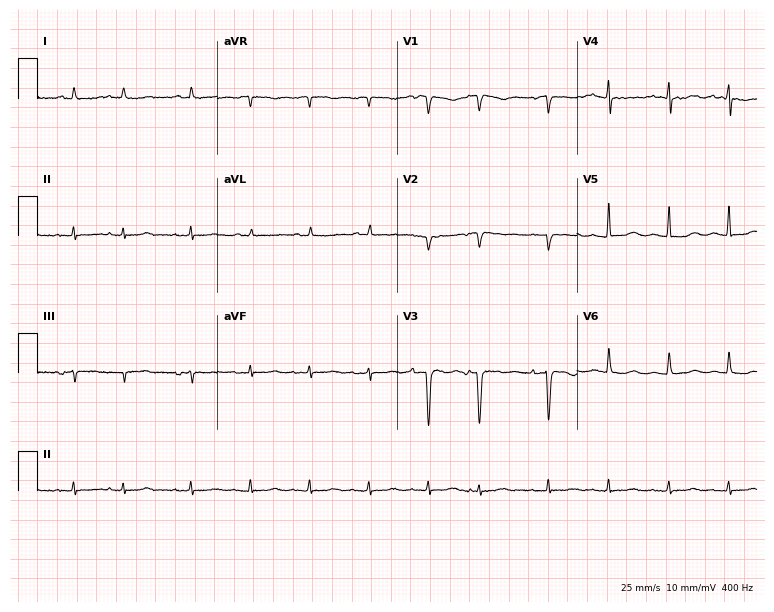
Resting 12-lead electrocardiogram. Patient: an 81-year-old female. None of these six findings is recorded: first-degree AV block, right bundle branch block (RBBB), left bundle branch block (LBBB), sinus bradycardia, atrial fibrillation (AF), sinus tachycardia.